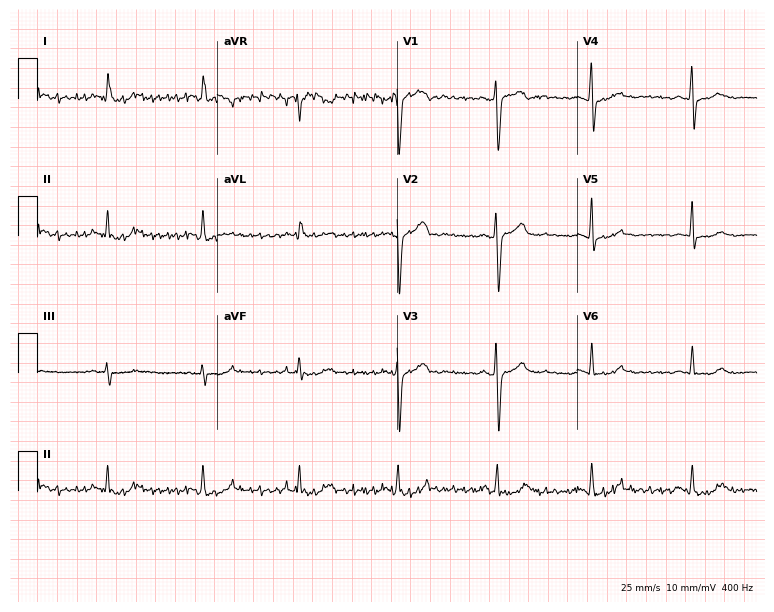
Standard 12-lead ECG recorded from a female patient, 39 years old. None of these six findings is recorded: first-degree AV block, right bundle branch block, left bundle branch block, sinus bradycardia, atrial fibrillation, sinus tachycardia.